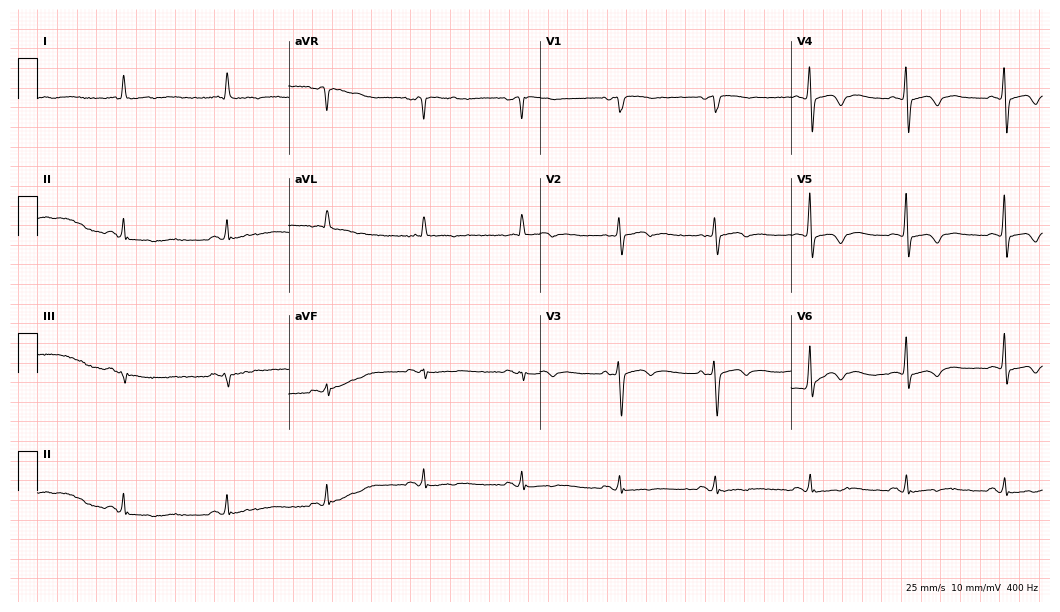
12-lead ECG from a female patient, 66 years old. No first-degree AV block, right bundle branch block, left bundle branch block, sinus bradycardia, atrial fibrillation or sinus tachycardia recorded for this tracing. Other findings, if any, are not listed.